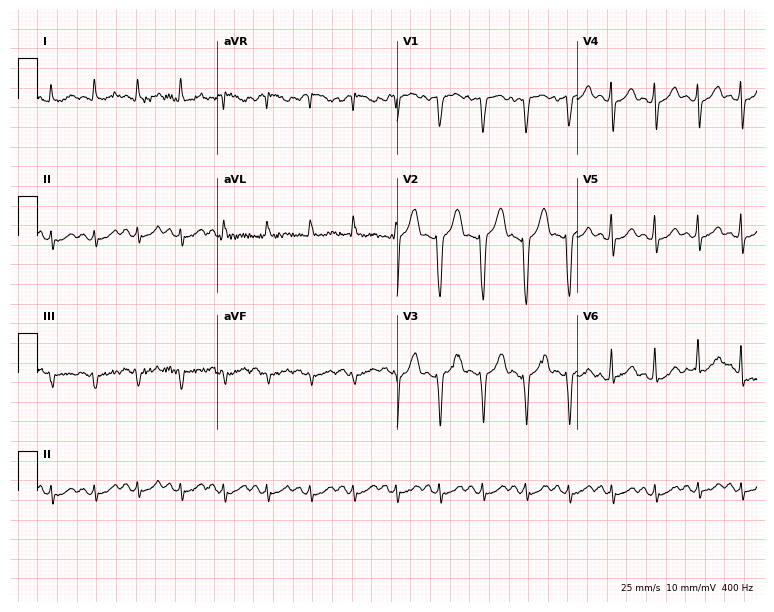
Standard 12-lead ECG recorded from a 51-year-old female patient (7.3-second recording at 400 Hz). None of these six findings is recorded: first-degree AV block, right bundle branch block (RBBB), left bundle branch block (LBBB), sinus bradycardia, atrial fibrillation (AF), sinus tachycardia.